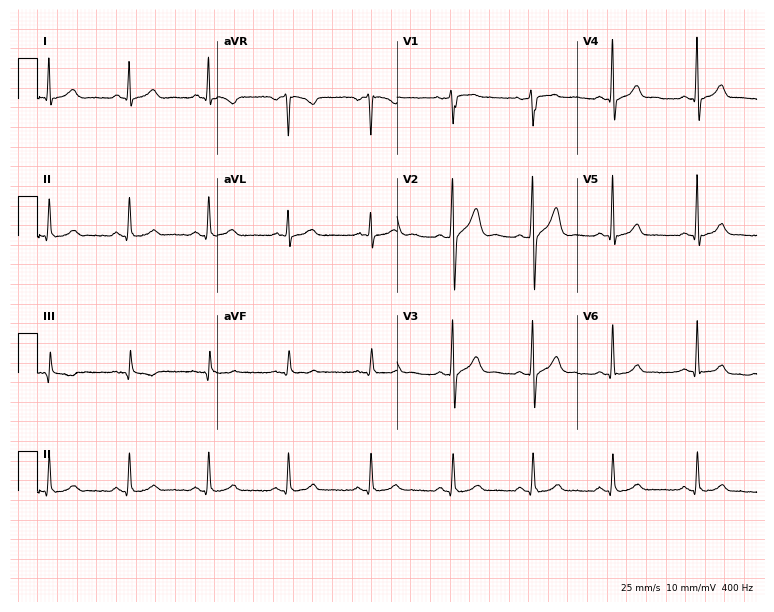
Resting 12-lead electrocardiogram. Patient: a man, 44 years old. Read as a normal ECG.